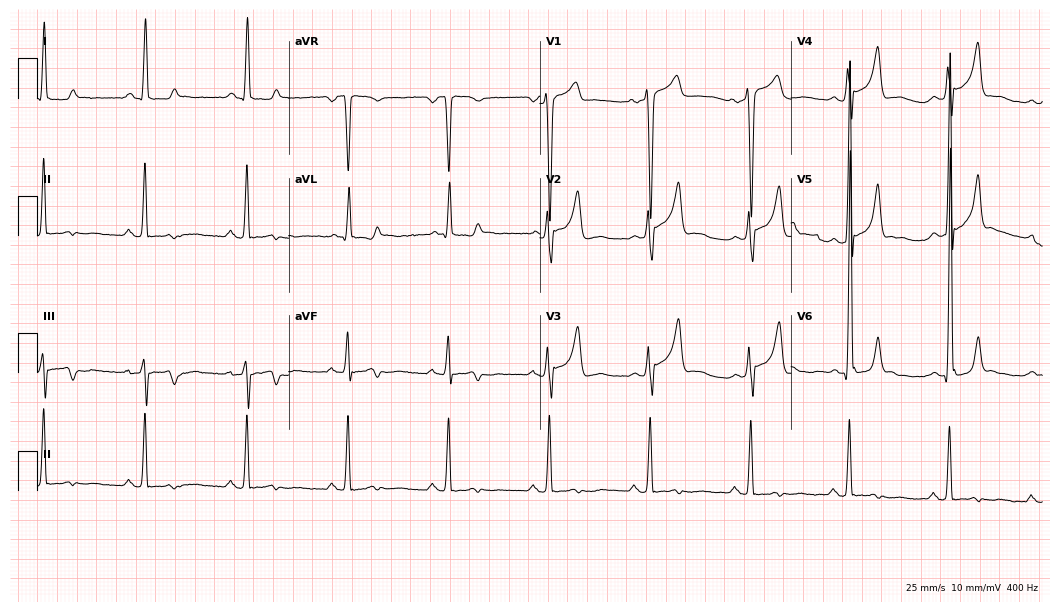
Electrocardiogram (10.2-second recording at 400 Hz), a male, 31 years old. Of the six screened findings (first-degree AV block, right bundle branch block, left bundle branch block, sinus bradycardia, atrial fibrillation, sinus tachycardia), none is recorded.